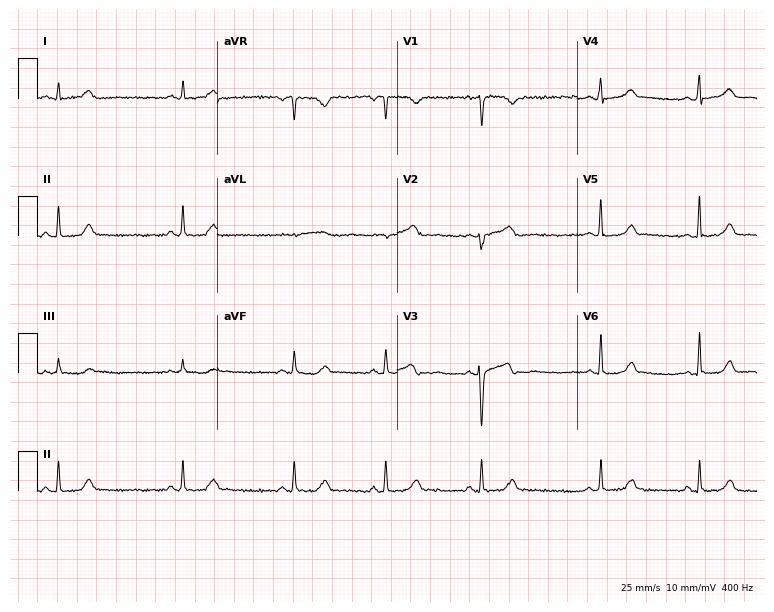
Resting 12-lead electrocardiogram. Patient: a 35-year-old female. Read as a normal ECG.